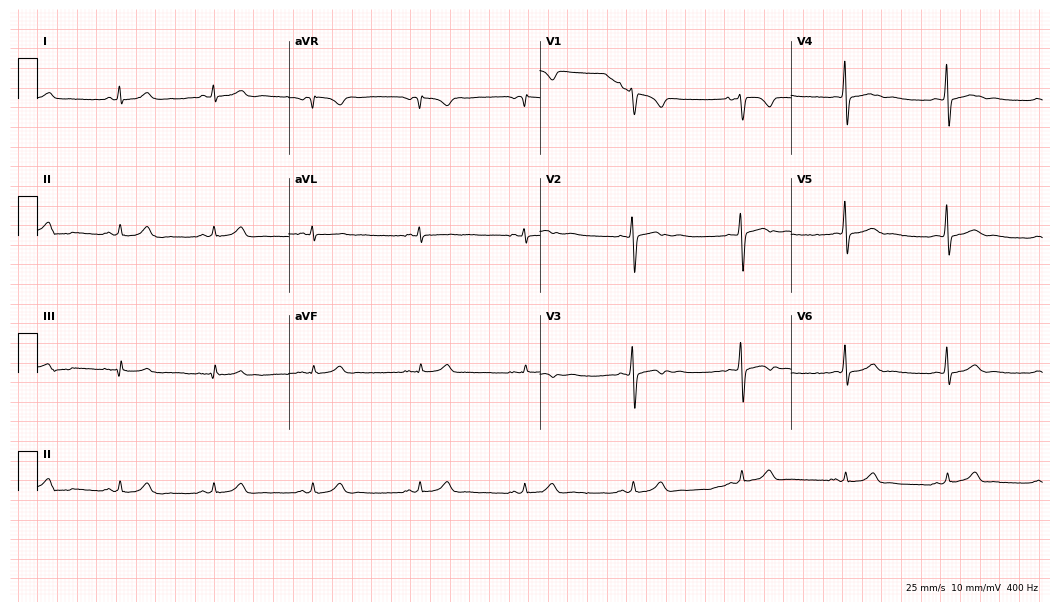
12-lead ECG from a 48-year-old woman. Recorded interpretation: within normal limits.